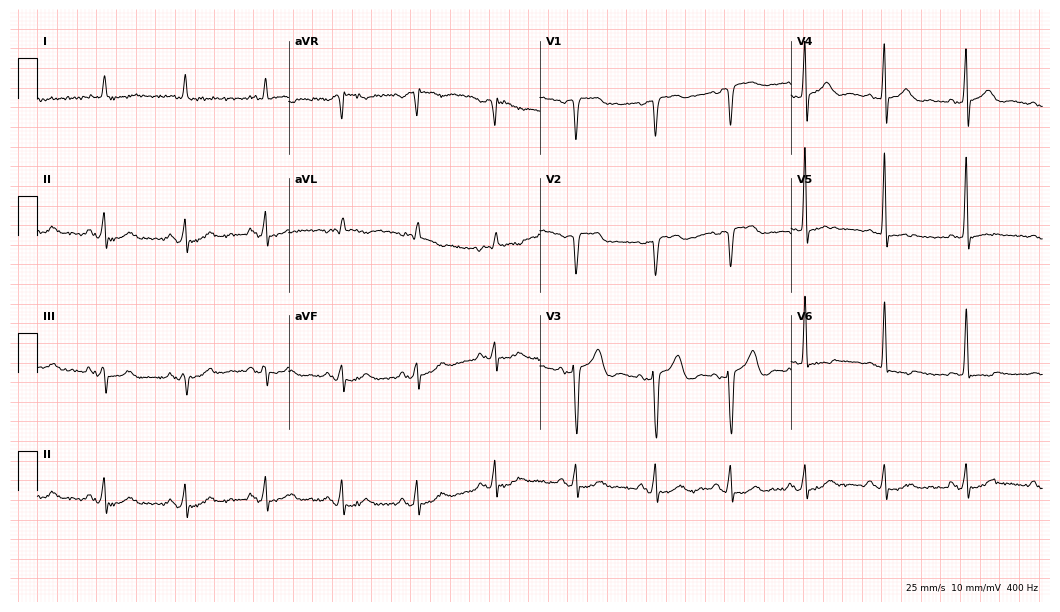
Electrocardiogram (10.2-second recording at 400 Hz), a female patient, 81 years old. Of the six screened findings (first-degree AV block, right bundle branch block (RBBB), left bundle branch block (LBBB), sinus bradycardia, atrial fibrillation (AF), sinus tachycardia), none is recorded.